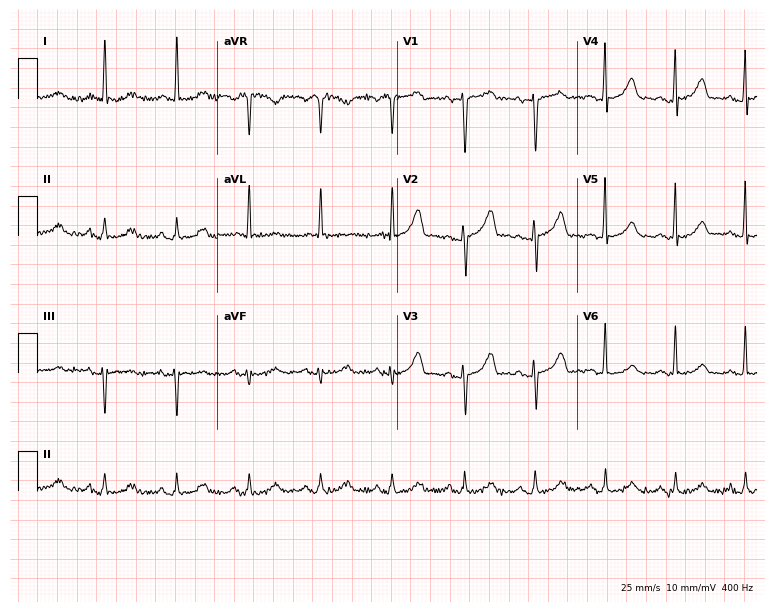
Standard 12-lead ECG recorded from a female, 56 years old (7.3-second recording at 400 Hz). Read as a normal ECG.